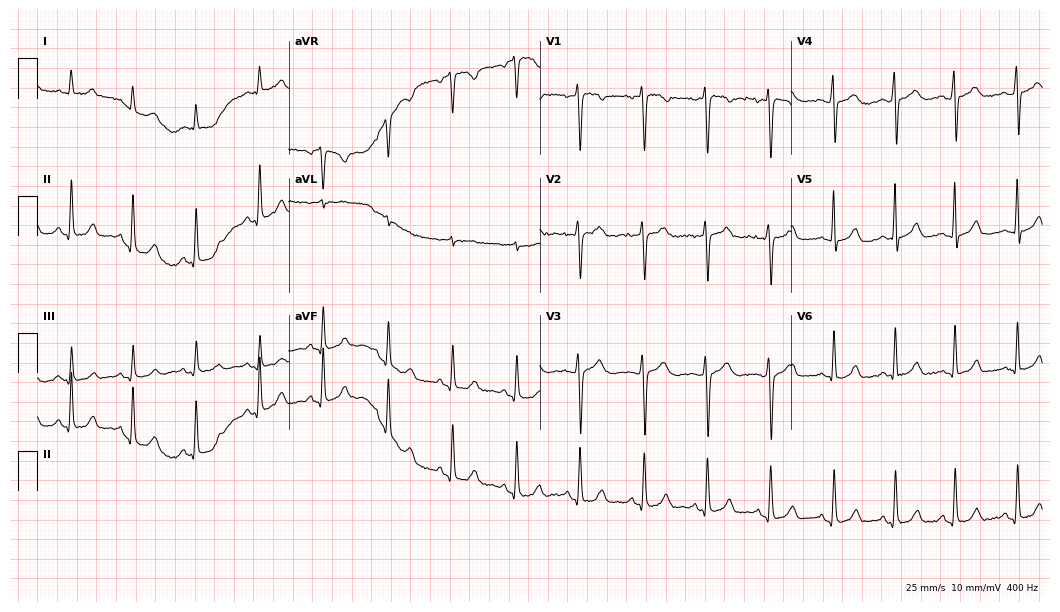
Resting 12-lead electrocardiogram. Patient: a female, 32 years old. None of these six findings is recorded: first-degree AV block, right bundle branch block, left bundle branch block, sinus bradycardia, atrial fibrillation, sinus tachycardia. Findings outside these six are not listed.